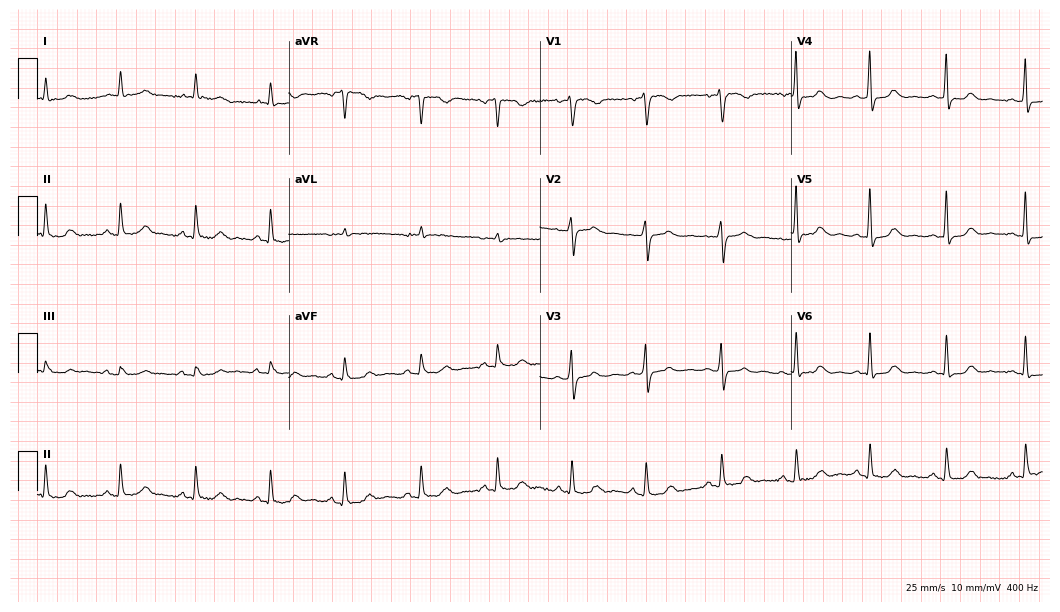
Resting 12-lead electrocardiogram (10.2-second recording at 400 Hz). Patient: a 52-year-old female. Read as a normal ECG.